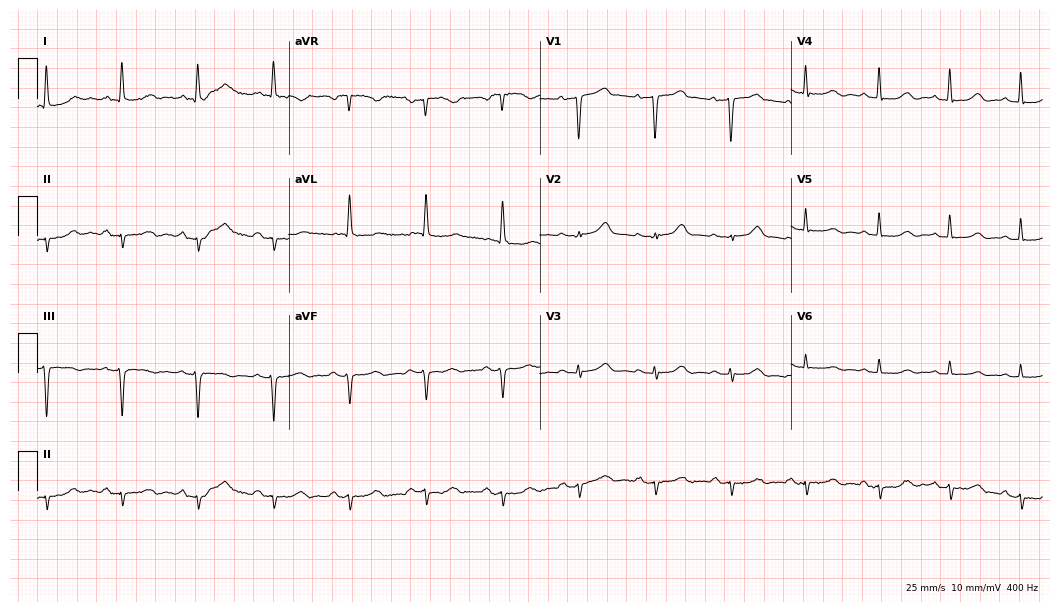
Resting 12-lead electrocardiogram. Patient: a 78-year-old female. None of these six findings is recorded: first-degree AV block, right bundle branch block, left bundle branch block, sinus bradycardia, atrial fibrillation, sinus tachycardia.